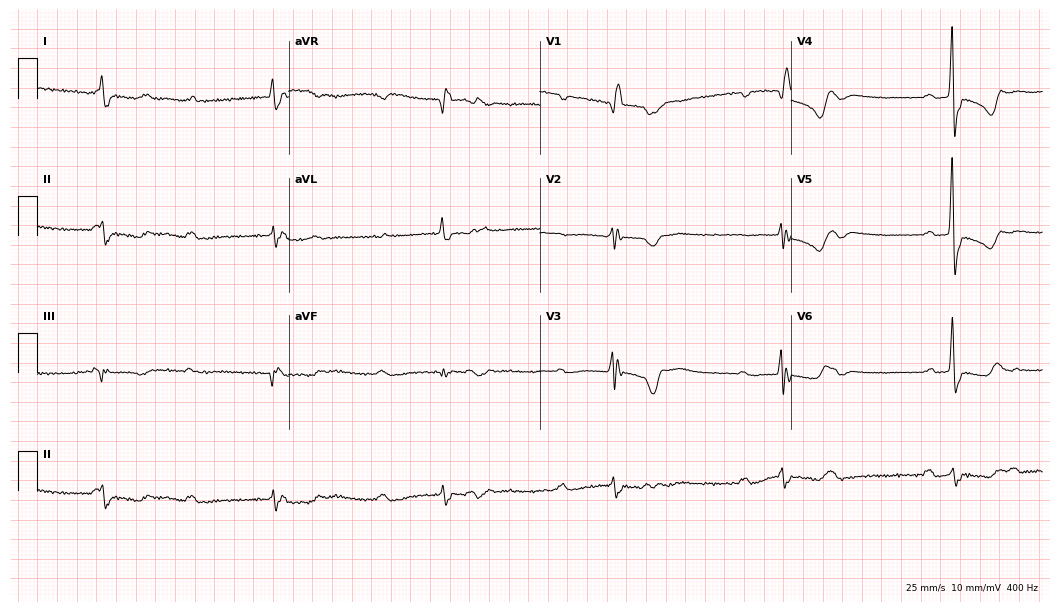
12-lead ECG (10.2-second recording at 400 Hz) from an 81-year-old female. Screened for six findings — first-degree AV block, right bundle branch block (RBBB), left bundle branch block (LBBB), sinus bradycardia, atrial fibrillation (AF), sinus tachycardia — none is recorded. Findings outside these six are not listed.